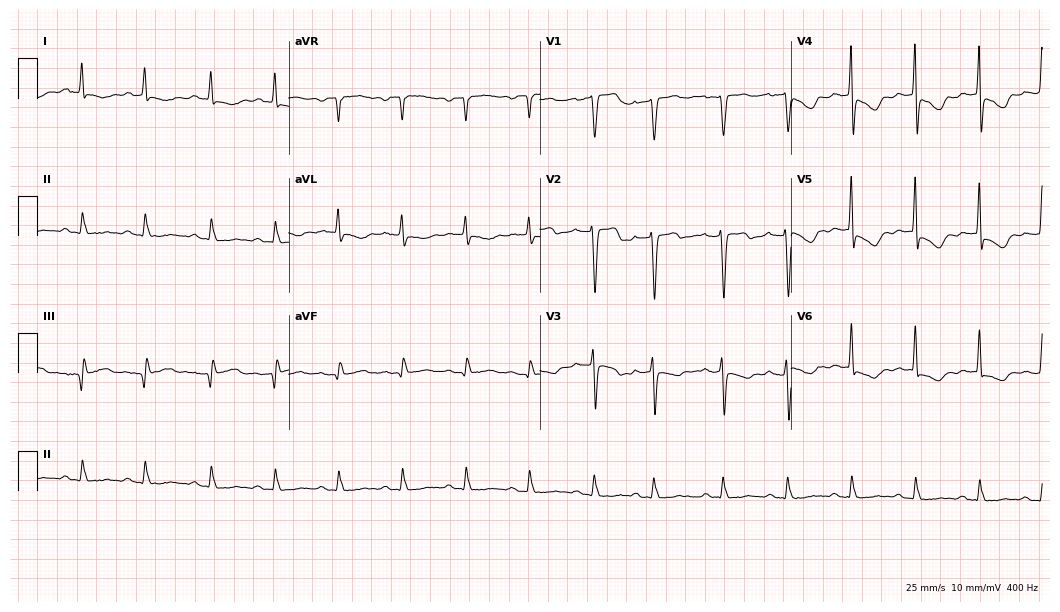
Electrocardiogram (10.2-second recording at 400 Hz), a male, 53 years old. Of the six screened findings (first-degree AV block, right bundle branch block, left bundle branch block, sinus bradycardia, atrial fibrillation, sinus tachycardia), none is recorded. Findings outside these six are not listed.